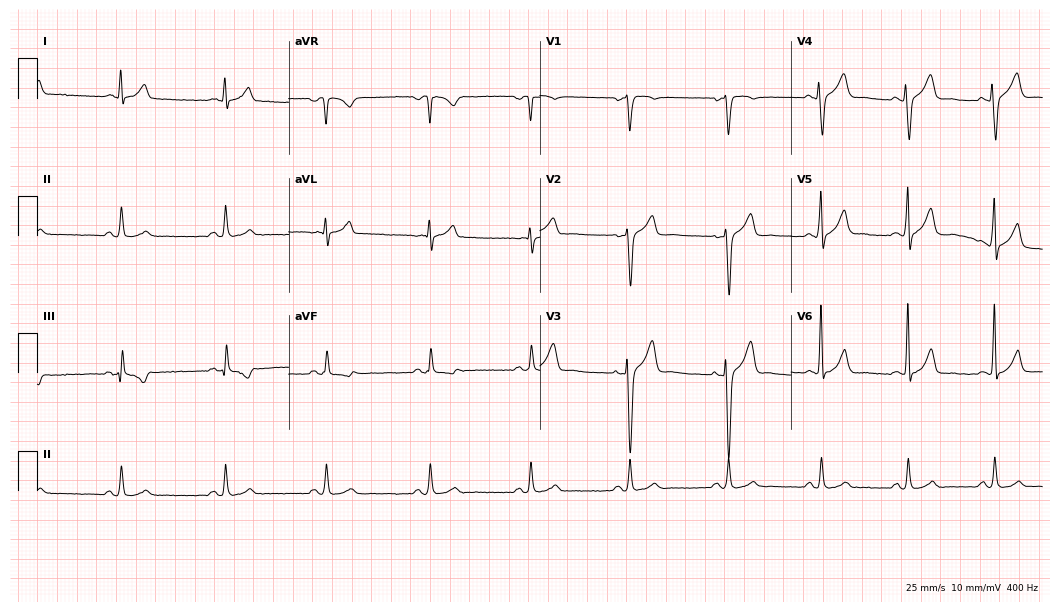
Electrocardiogram (10.2-second recording at 400 Hz), a man, 44 years old. Of the six screened findings (first-degree AV block, right bundle branch block (RBBB), left bundle branch block (LBBB), sinus bradycardia, atrial fibrillation (AF), sinus tachycardia), none is recorded. Only these six findings were labelled.